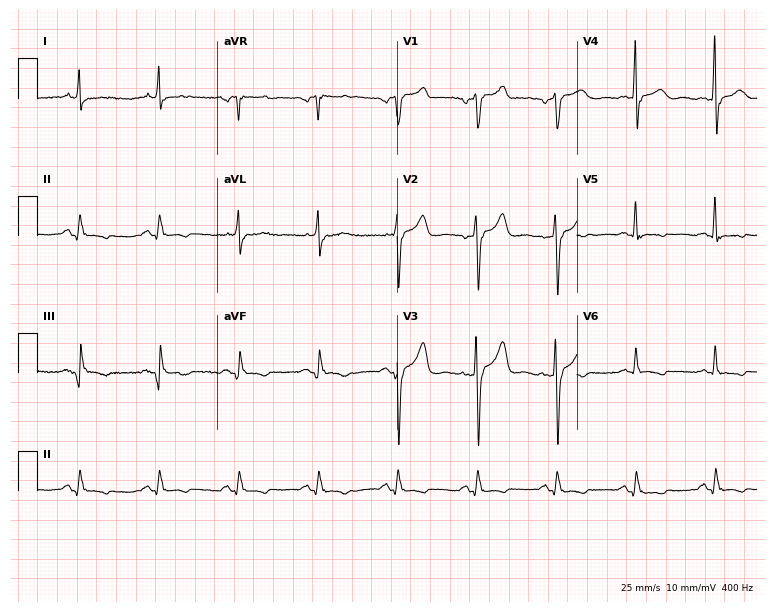
Standard 12-lead ECG recorded from a male patient, 63 years old (7.3-second recording at 400 Hz). None of these six findings is recorded: first-degree AV block, right bundle branch block, left bundle branch block, sinus bradycardia, atrial fibrillation, sinus tachycardia.